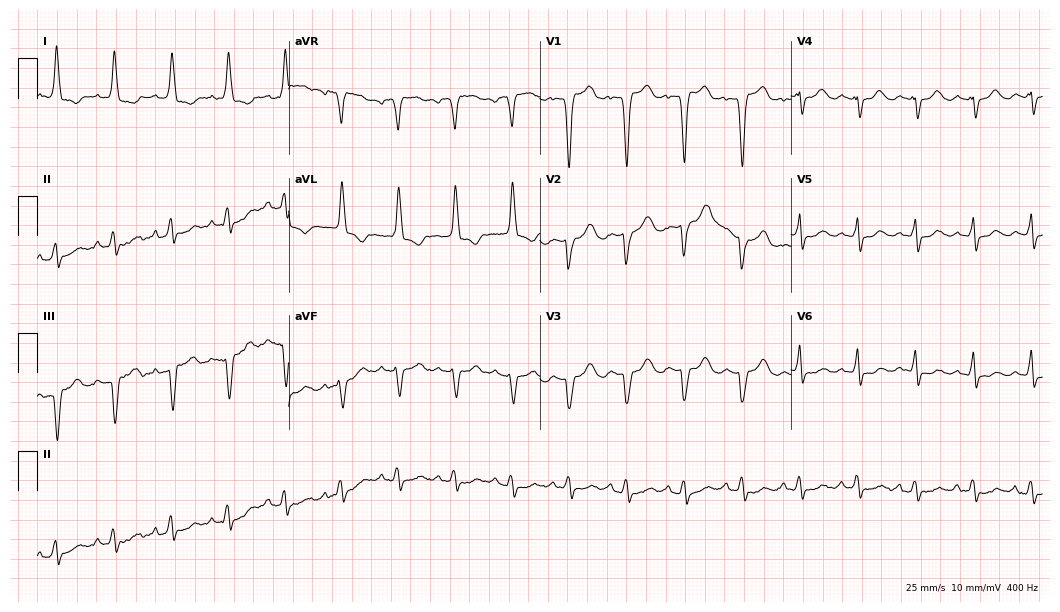
12-lead ECG from a female patient, 70 years old (10.2-second recording at 400 Hz). Shows left bundle branch block (LBBB), sinus tachycardia (a sinus rate of 100 beats per minute or more).